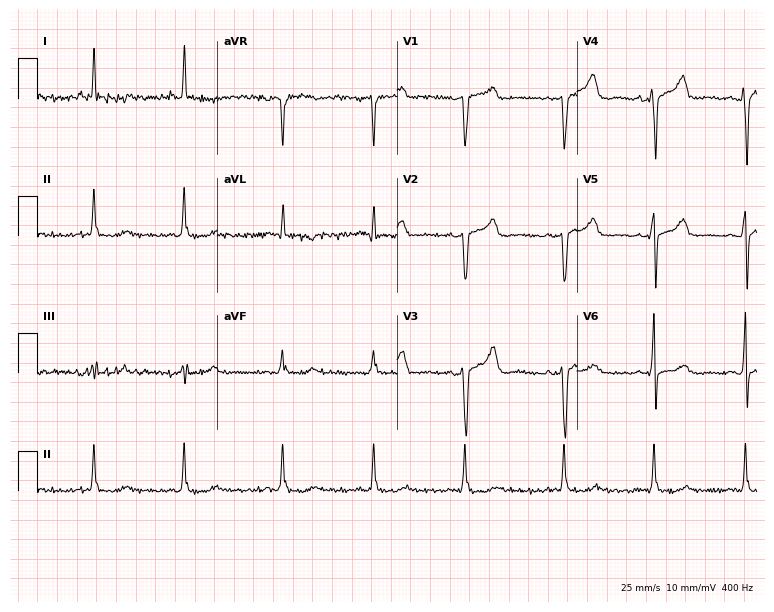
ECG (7.3-second recording at 400 Hz) — a 54-year-old male. Screened for six findings — first-degree AV block, right bundle branch block, left bundle branch block, sinus bradycardia, atrial fibrillation, sinus tachycardia — none is recorded.